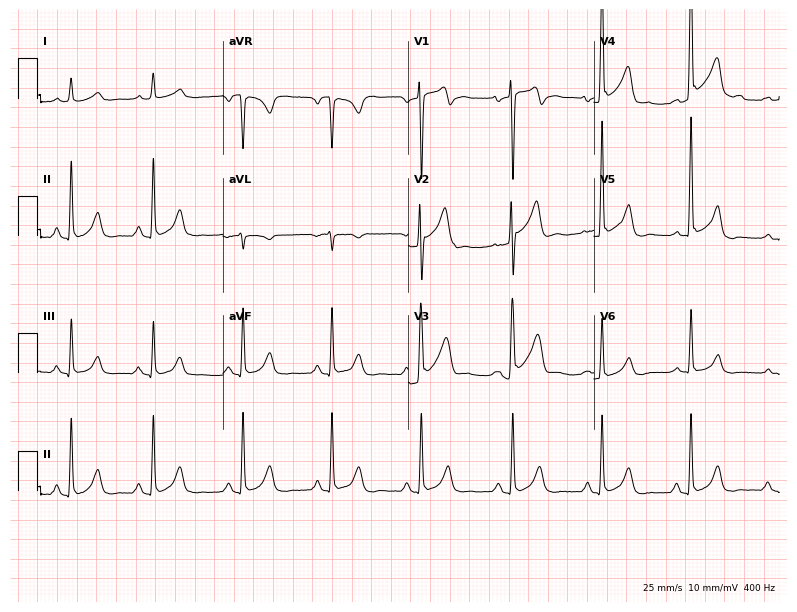
Standard 12-lead ECG recorded from a male, 56 years old. None of these six findings is recorded: first-degree AV block, right bundle branch block, left bundle branch block, sinus bradycardia, atrial fibrillation, sinus tachycardia. Only these six findings were labelled.